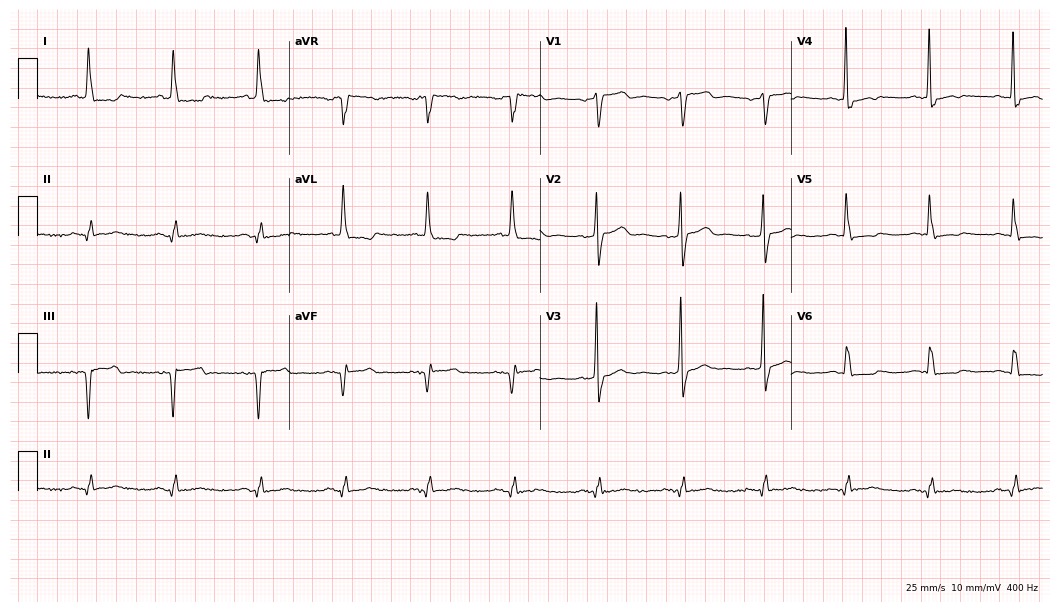
Electrocardiogram, a 70-year-old female. Of the six screened findings (first-degree AV block, right bundle branch block, left bundle branch block, sinus bradycardia, atrial fibrillation, sinus tachycardia), none is recorded.